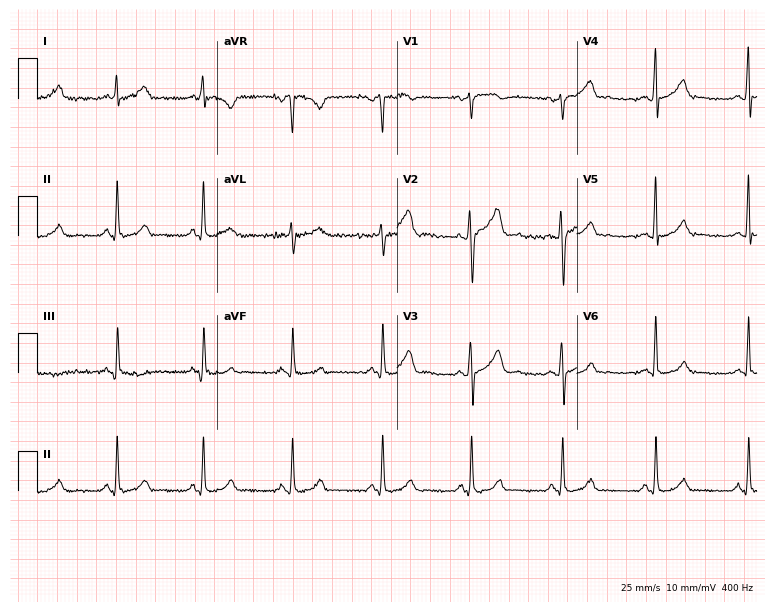
ECG — a 50-year-old male patient. Screened for six findings — first-degree AV block, right bundle branch block (RBBB), left bundle branch block (LBBB), sinus bradycardia, atrial fibrillation (AF), sinus tachycardia — none is recorded.